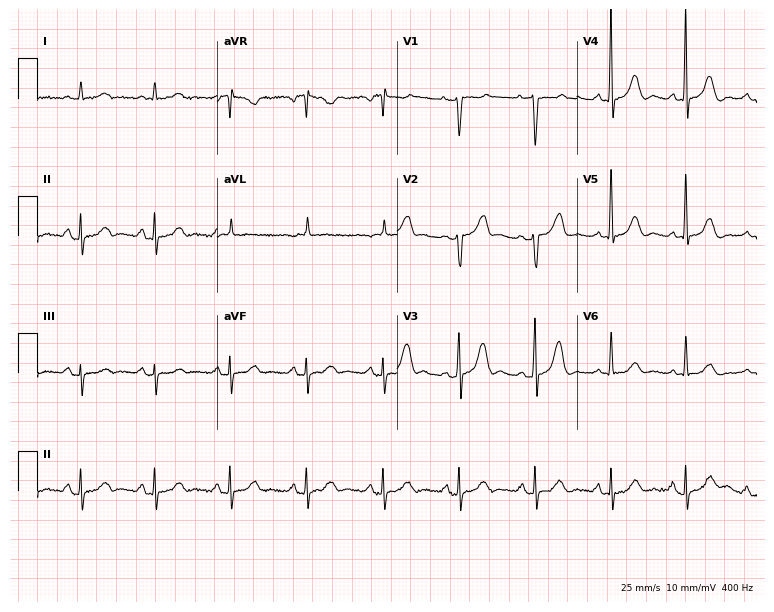
Resting 12-lead electrocardiogram (7.3-second recording at 400 Hz). Patient: a female, 77 years old. Read as a normal ECG.